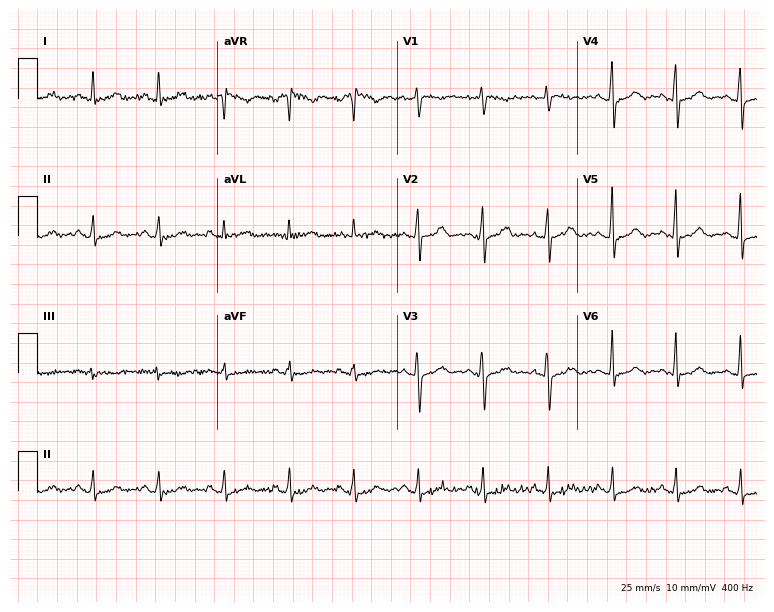
Standard 12-lead ECG recorded from a female patient, 60 years old (7.3-second recording at 400 Hz). Read as a normal ECG.